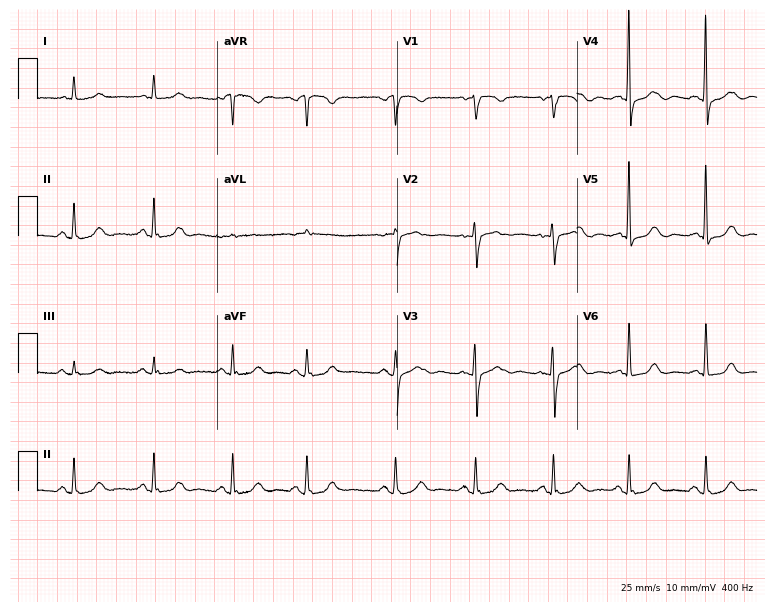
Resting 12-lead electrocardiogram (7.3-second recording at 400 Hz). Patient: a female, 75 years old. Read as a normal ECG.